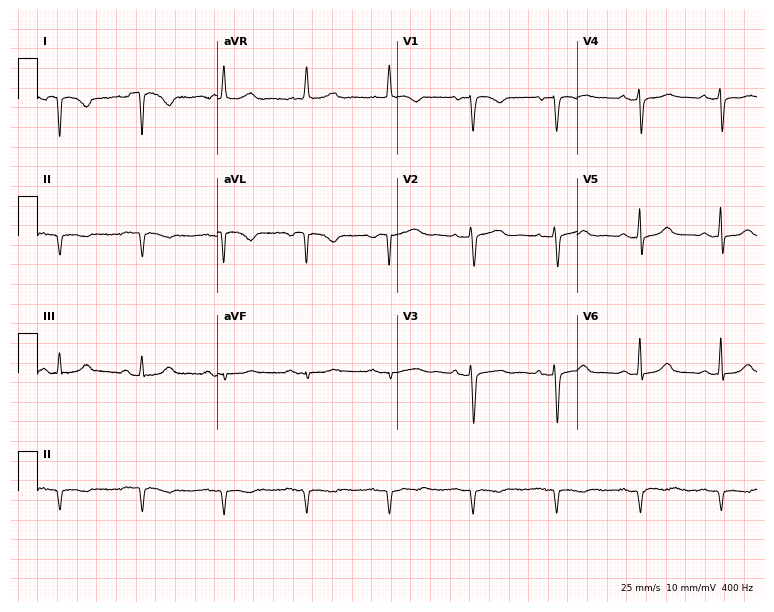
12-lead ECG from a 65-year-old female patient (7.3-second recording at 400 Hz). Recorded interpretation: within normal limits.